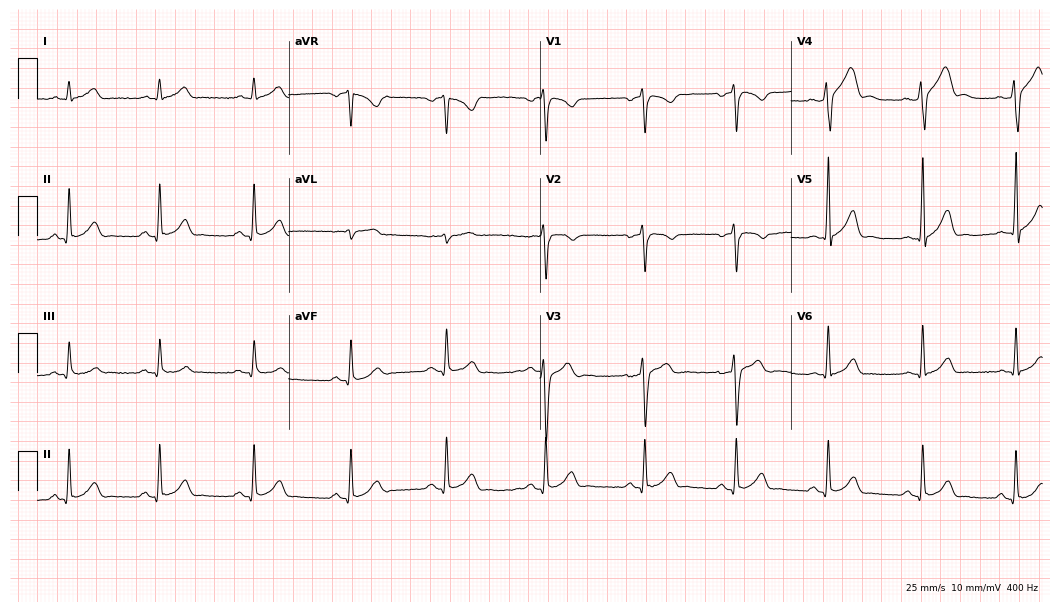
12-lead ECG from a man, 37 years old. Labelled as a normal ECG.